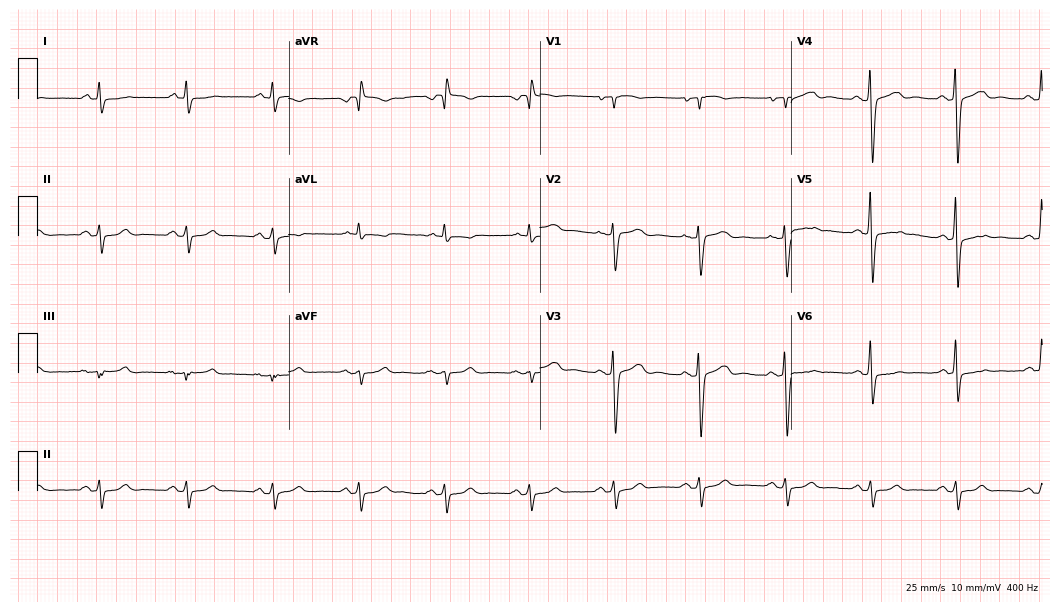
12-lead ECG from a 66-year-old man (10.2-second recording at 400 Hz). No first-degree AV block, right bundle branch block, left bundle branch block, sinus bradycardia, atrial fibrillation or sinus tachycardia recorded for this tracing.